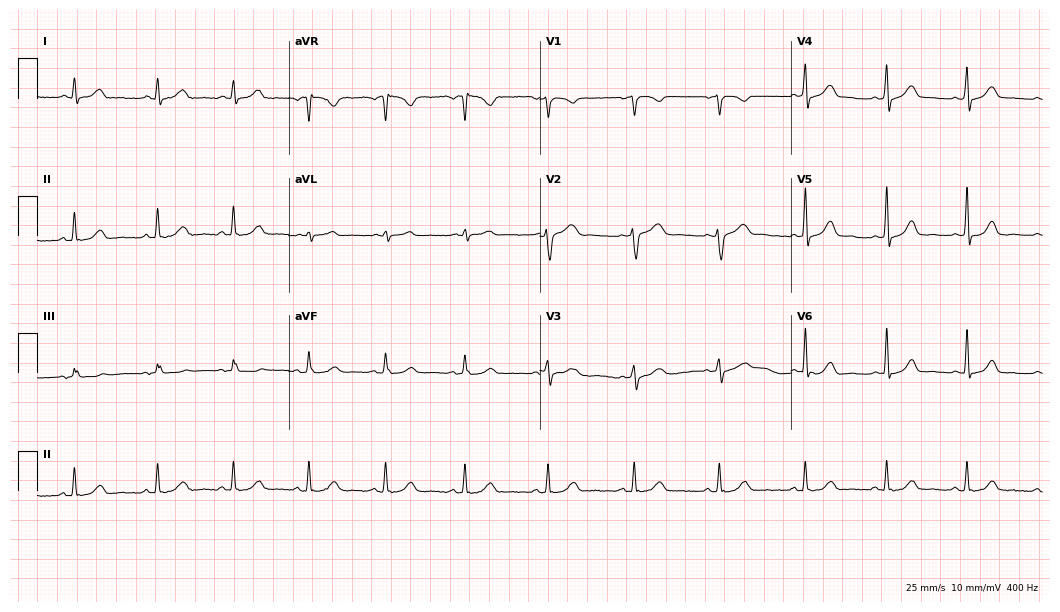
12-lead ECG (10.2-second recording at 400 Hz) from a female, 40 years old. Labelled as a normal ECG.